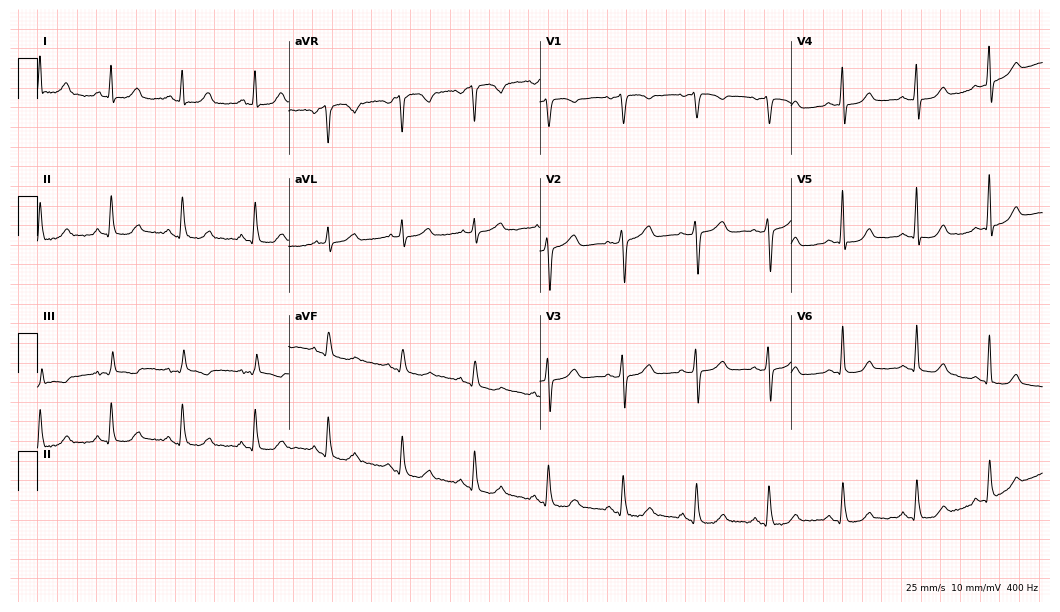
12-lead ECG from a 62-year-old female (10.2-second recording at 400 Hz). No first-degree AV block, right bundle branch block, left bundle branch block, sinus bradycardia, atrial fibrillation or sinus tachycardia recorded for this tracing. Findings outside these six are not listed.